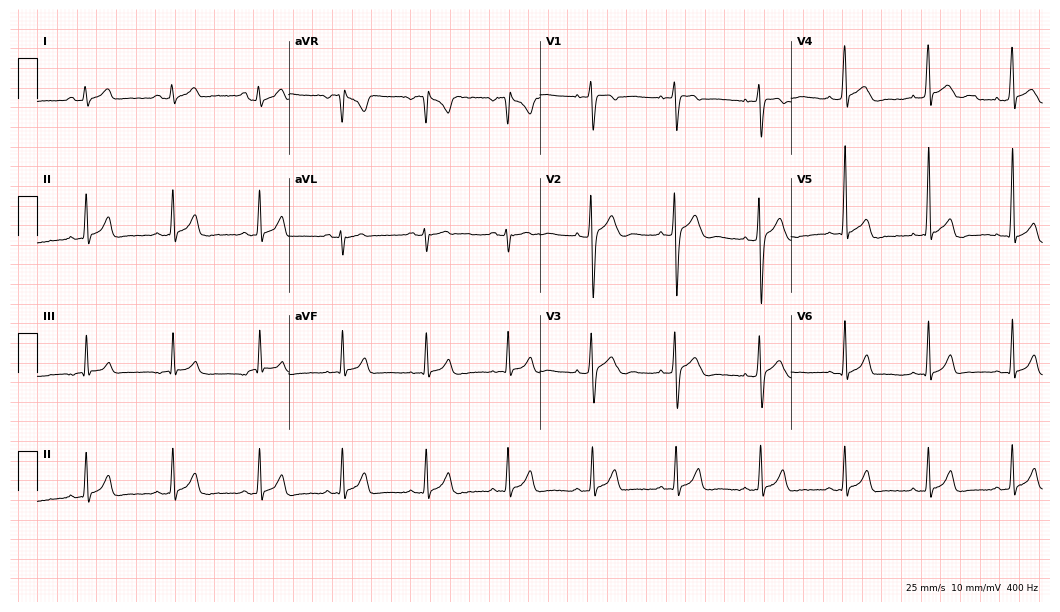
12-lead ECG from a male patient, 17 years old. Screened for six findings — first-degree AV block, right bundle branch block, left bundle branch block, sinus bradycardia, atrial fibrillation, sinus tachycardia — none is recorded.